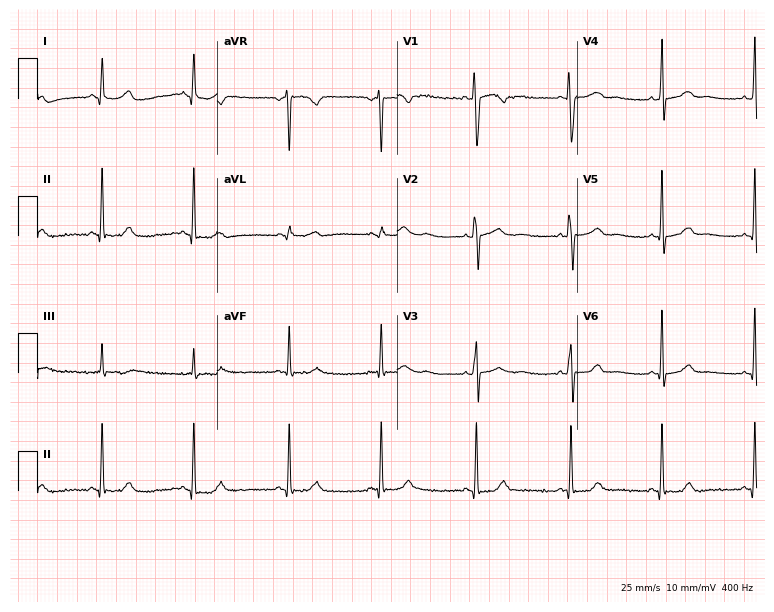
ECG (7.3-second recording at 400 Hz) — a woman, 32 years old. Screened for six findings — first-degree AV block, right bundle branch block, left bundle branch block, sinus bradycardia, atrial fibrillation, sinus tachycardia — none is recorded.